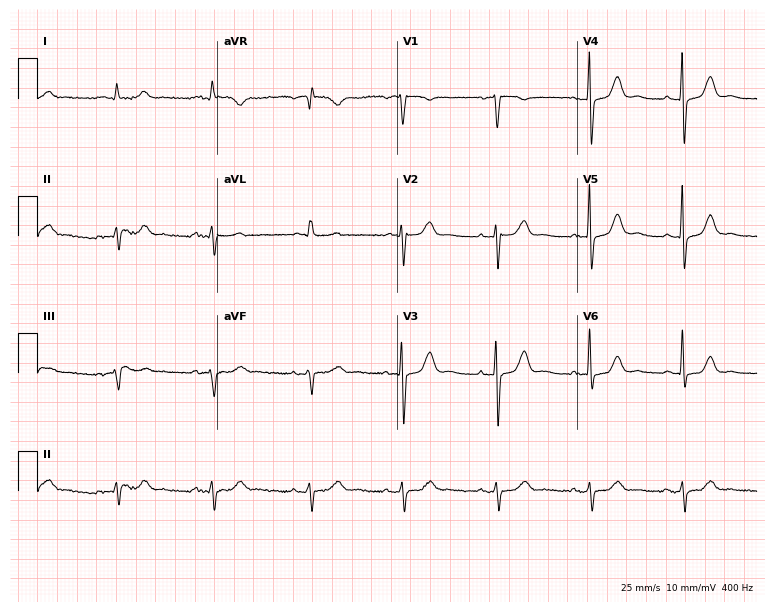
Resting 12-lead electrocardiogram. Patient: a 72-year-old male. None of these six findings is recorded: first-degree AV block, right bundle branch block, left bundle branch block, sinus bradycardia, atrial fibrillation, sinus tachycardia. Only these six findings were labelled.